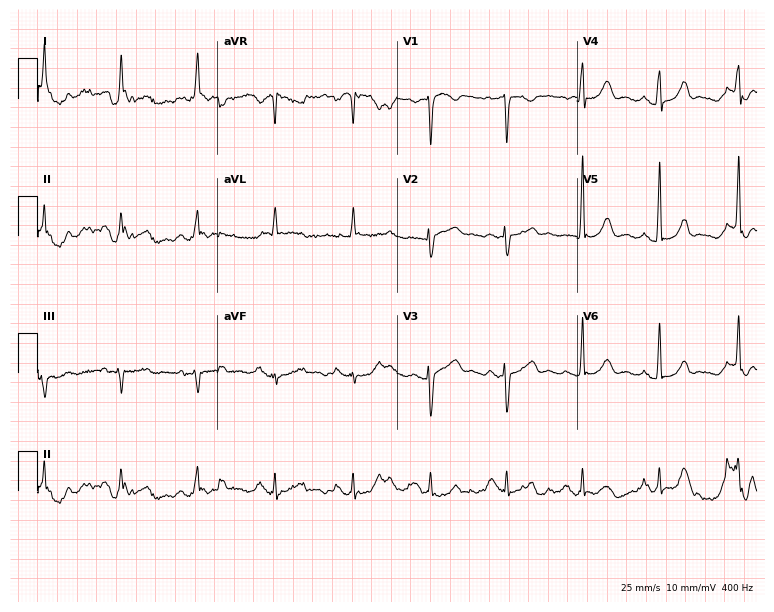
12-lead ECG (7.3-second recording at 400 Hz) from a female patient, 54 years old. Labelled as a normal ECG.